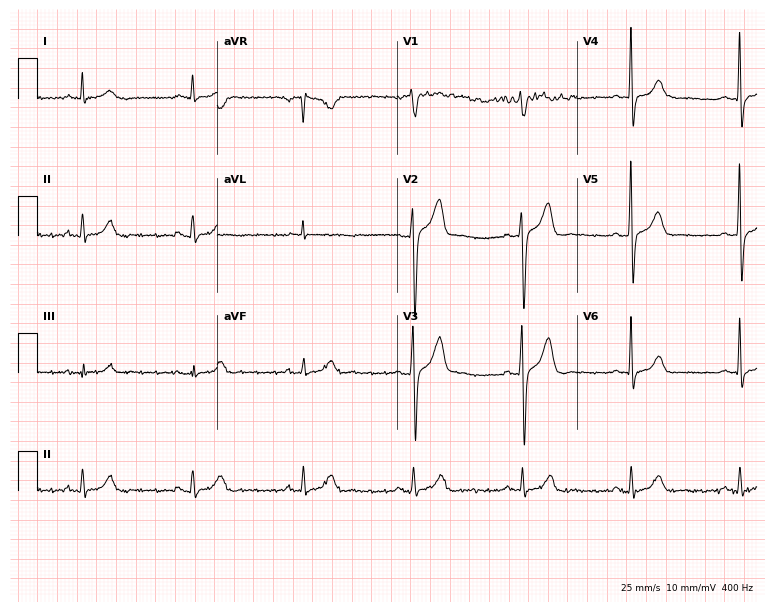
12-lead ECG from a male patient, 51 years old. No first-degree AV block, right bundle branch block, left bundle branch block, sinus bradycardia, atrial fibrillation or sinus tachycardia recorded for this tracing.